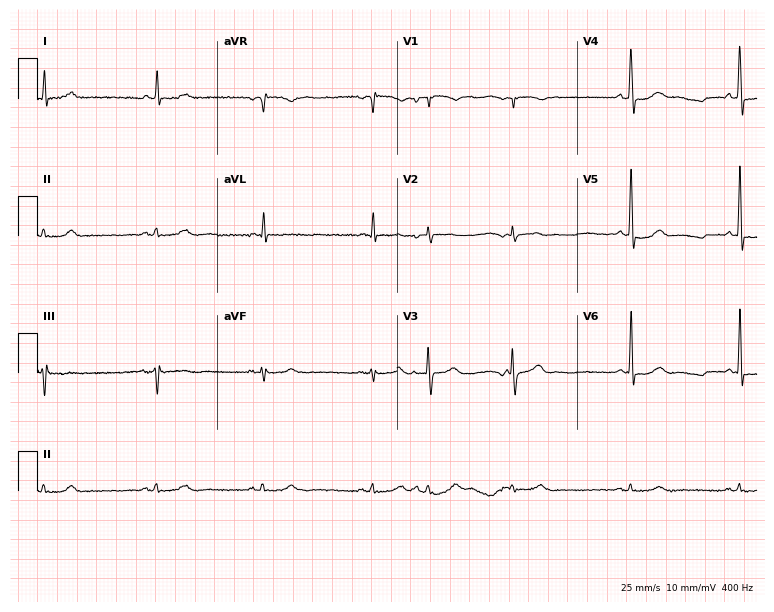
12-lead ECG from an 87-year-old male patient. No first-degree AV block, right bundle branch block, left bundle branch block, sinus bradycardia, atrial fibrillation or sinus tachycardia recorded for this tracing.